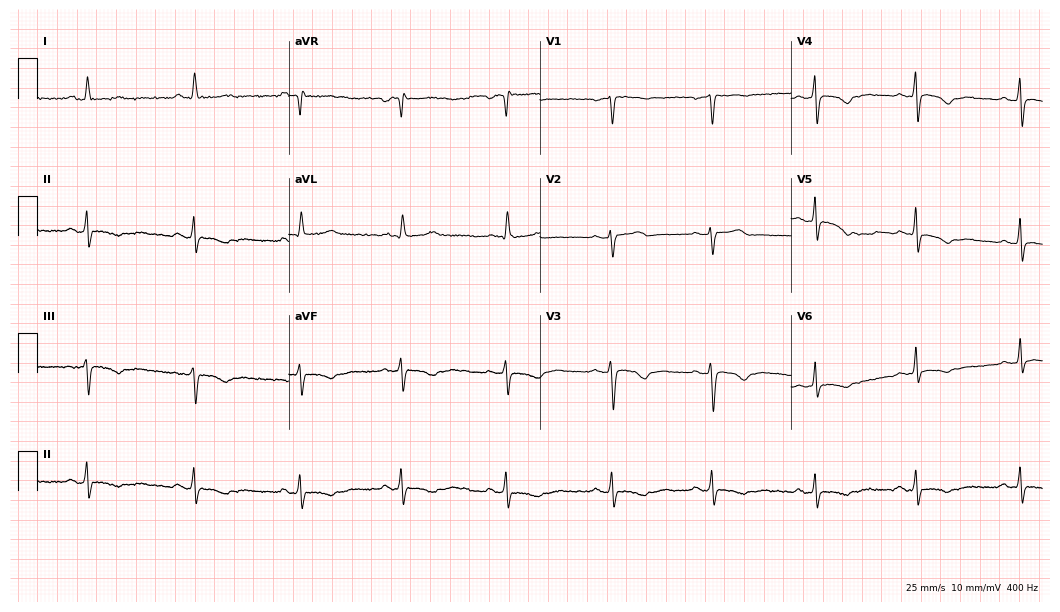
12-lead ECG from a 51-year-old female. No first-degree AV block, right bundle branch block (RBBB), left bundle branch block (LBBB), sinus bradycardia, atrial fibrillation (AF) or sinus tachycardia recorded for this tracing. Other findings, if any, are not listed.